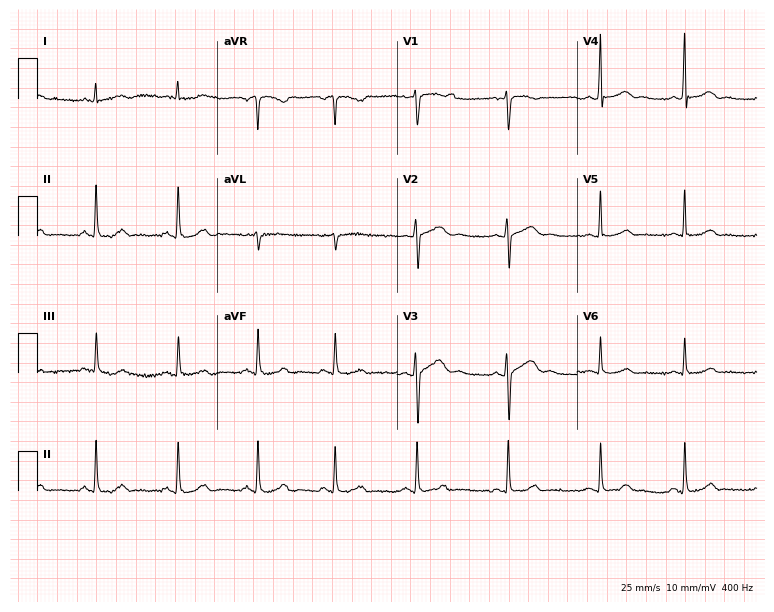
Resting 12-lead electrocardiogram. Patient: a 30-year-old female. None of these six findings is recorded: first-degree AV block, right bundle branch block, left bundle branch block, sinus bradycardia, atrial fibrillation, sinus tachycardia.